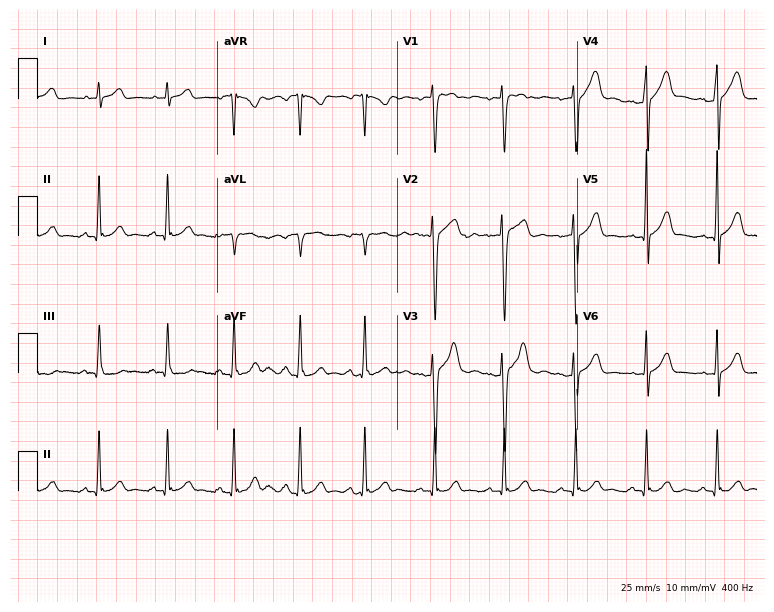
Resting 12-lead electrocardiogram (7.3-second recording at 400 Hz). Patient: a man, 20 years old. Read as a normal ECG.